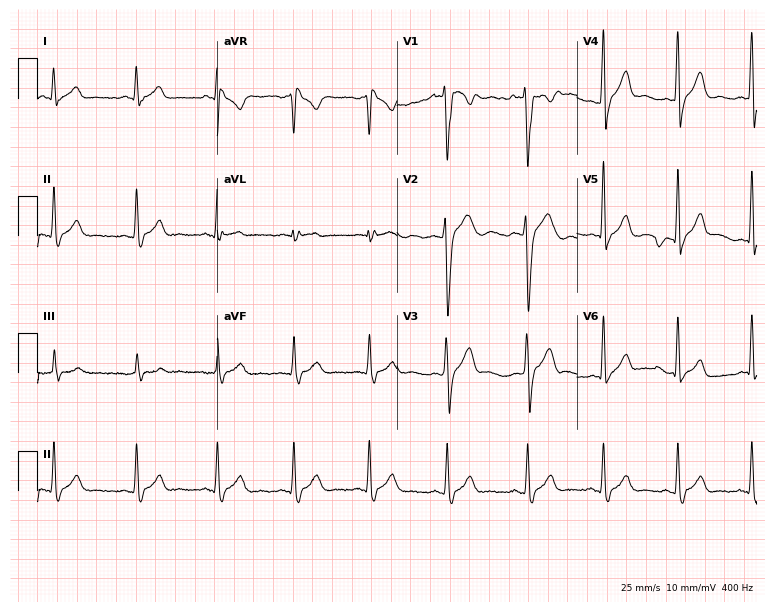
12-lead ECG from a man, 21 years old (7.3-second recording at 400 Hz). No first-degree AV block, right bundle branch block (RBBB), left bundle branch block (LBBB), sinus bradycardia, atrial fibrillation (AF) or sinus tachycardia recorded for this tracing.